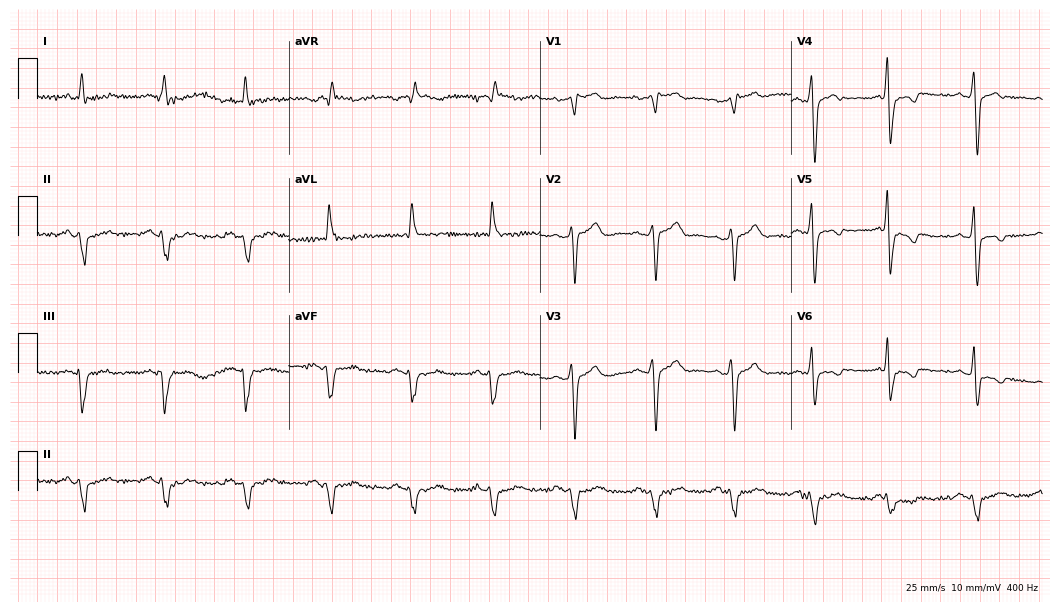
Standard 12-lead ECG recorded from a 66-year-old male. None of these six findings is recorded: first-degree AV block, right bundle branch block, left bundle branch block, sinus bradycardia, atrial fibrillation, sinus tachycardia. Only these six findings were labelled.